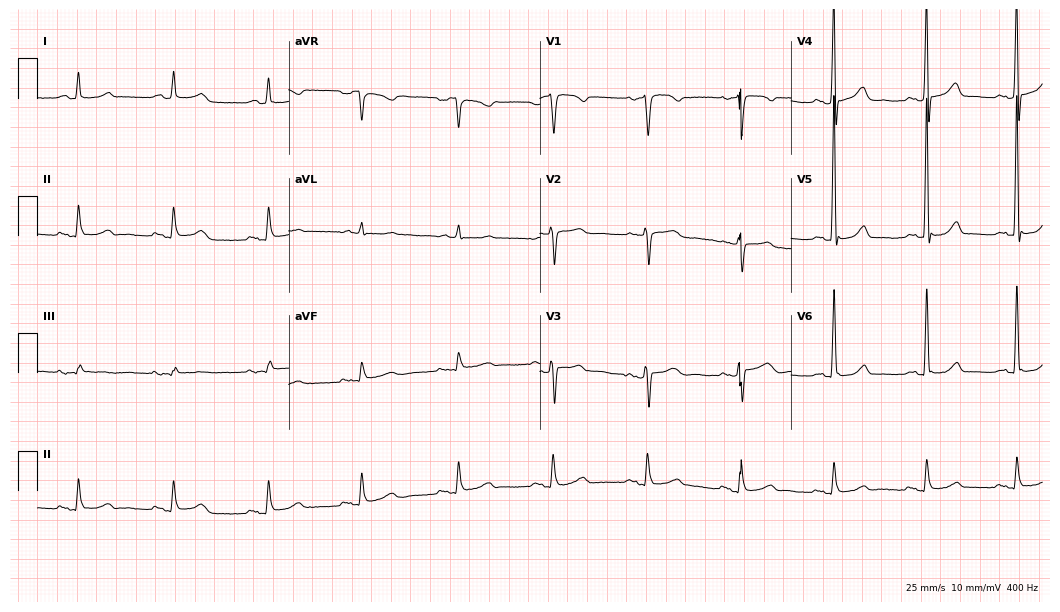
12-lead ECG from a female, 82 years old (10.2-second recording at 400 Hz). No first-degree AV block, right bundle branch block, left bundle branch block, sinus bradycardia, atrial fibrillation or sinus tachycardia recorded for this tracing.